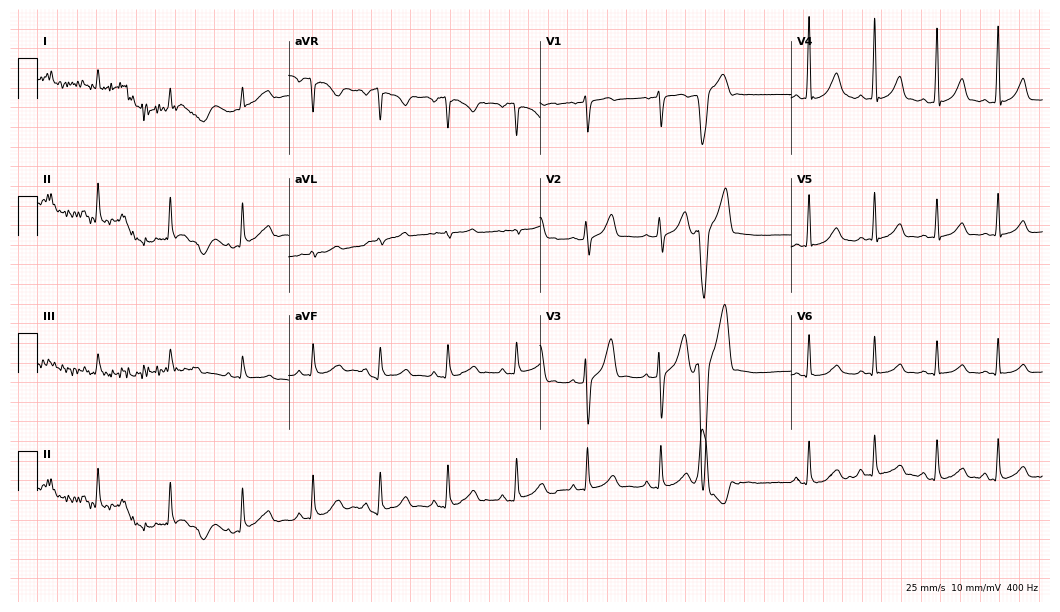
Standard 12-lead ECG recorded from a 29-year-old male patient. None of these six findings is recorded: first-degree AV block, right bundle branch block (RBBB), left bundle branch block (LBBB), sinus bradycardia, atrial fibrillation (AF), sinus tachycardia. Findings outside these six are not listed.